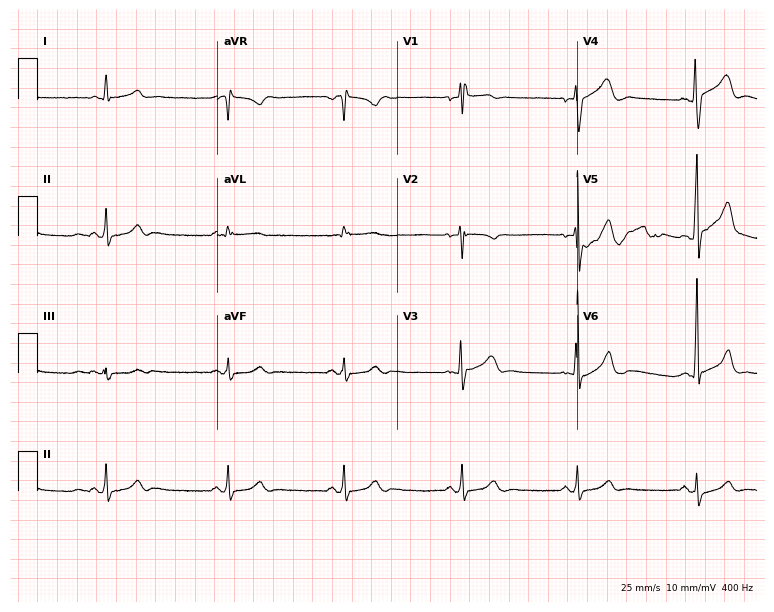
Electrocardiogram (7.3-second recording at 400 Hz), a 52-year-old man. Overall reading on record: normal ECG.